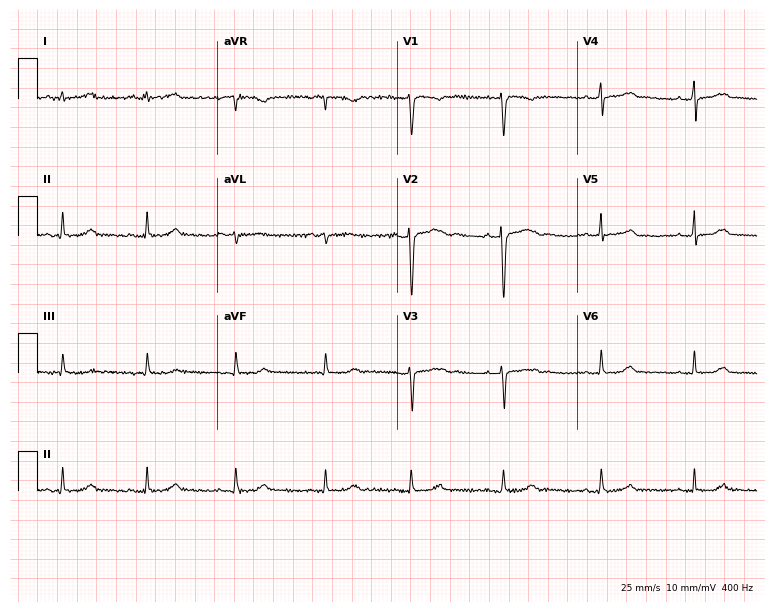
Electrocardiogram, a 36-year-old female. Overall reading on record: normal ECG.